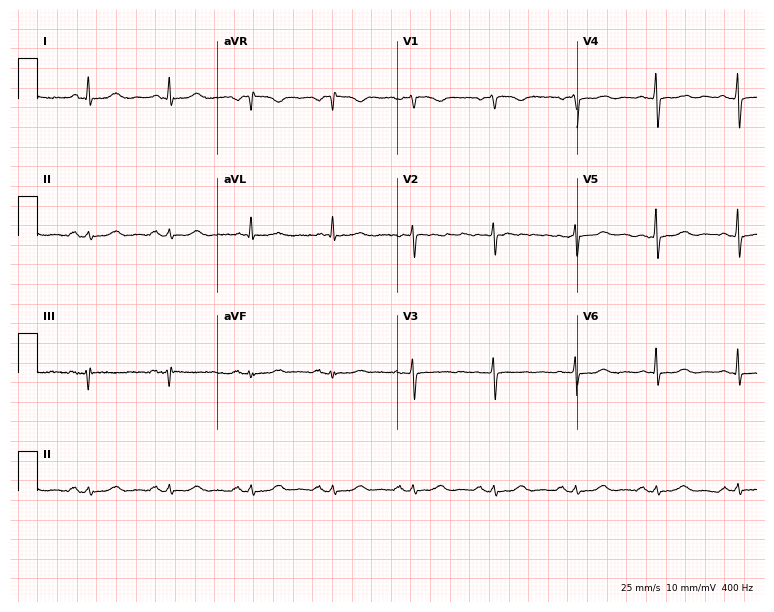
ECG (7.3-second recording at 400 Hz) — a 75-year-old female patient. Screened for six findings — first-degree AV block, right bundle branch block (RBBB), left bundle branch block (LBBB), sinus bradycardia, atrial fibrillation (AF), sinus tachycardia — none is recorded.